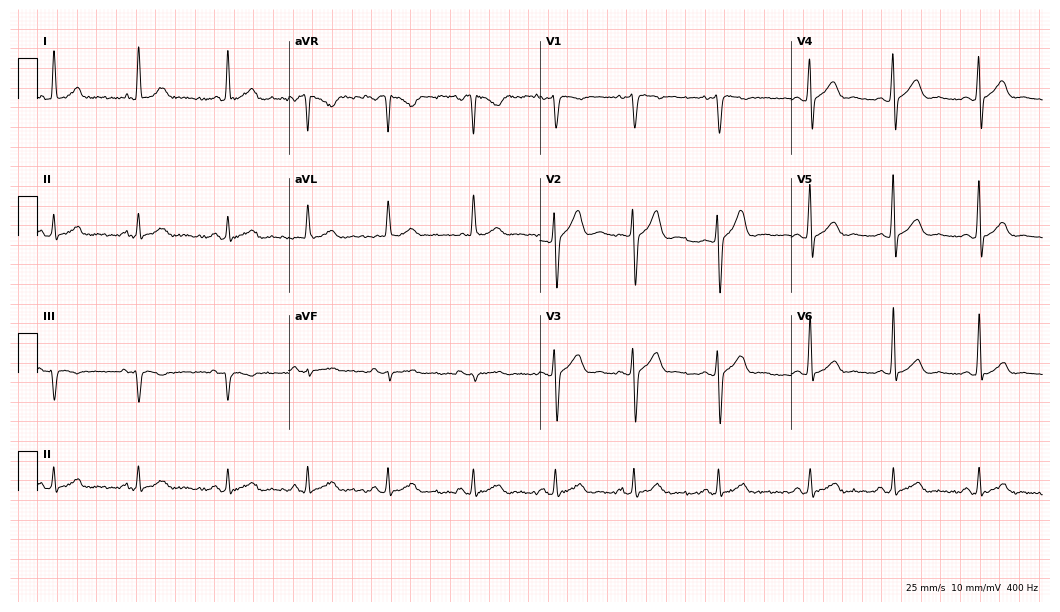
Standard 12-lead ECG recorded from a 28-year-old man (10.2-second recording at 400 Hz). Read as a normal ECG.